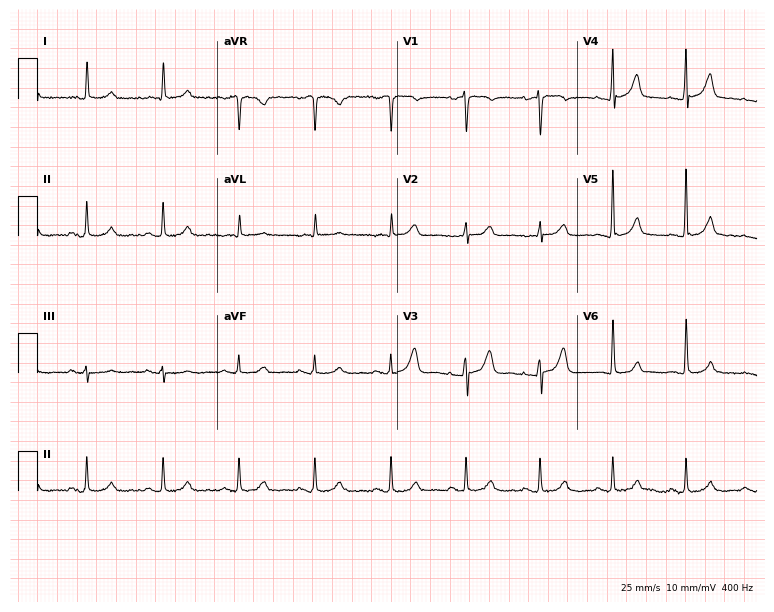
12-lead ECG (7.3-second recording at 400 Hz) from a man, 85 years old. Screened for six findings — first-degree AV block, right bundle branch block, left bundle branch block, sinus bradycardia, atrial fibrillation, sinus tachycardia — none is recorded. Only these six findings were labelled.